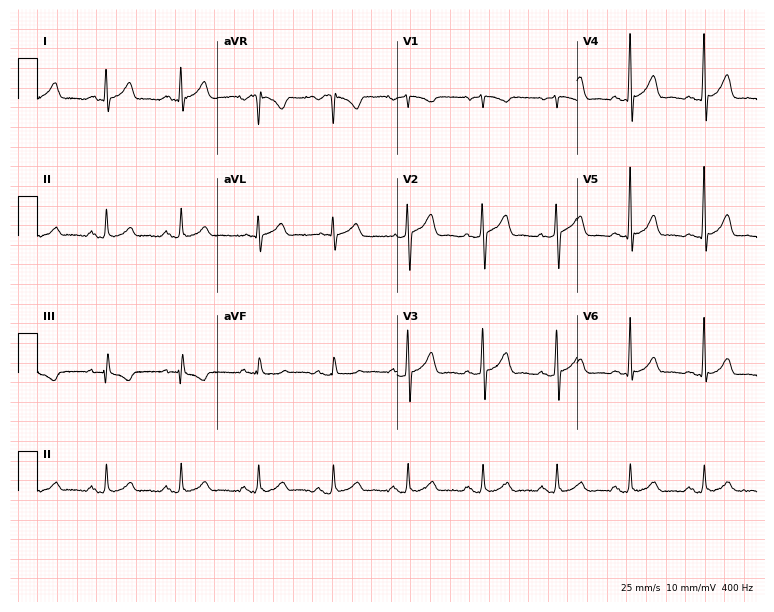
ECG (7.3-second recording at 400 Hz) — a male patient, 61 years old. Labelled as a normal ECG.